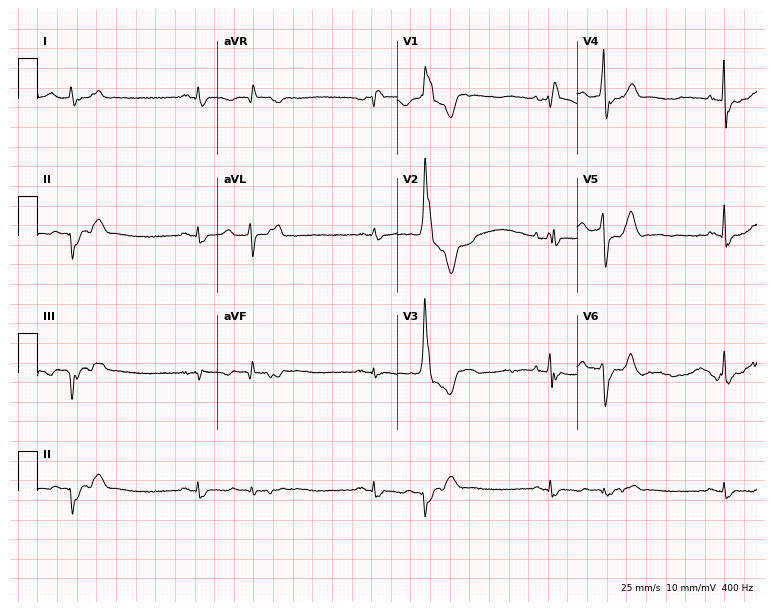
ECG — a female, 41 years old. Findings include right bundle branch block (RBBB).